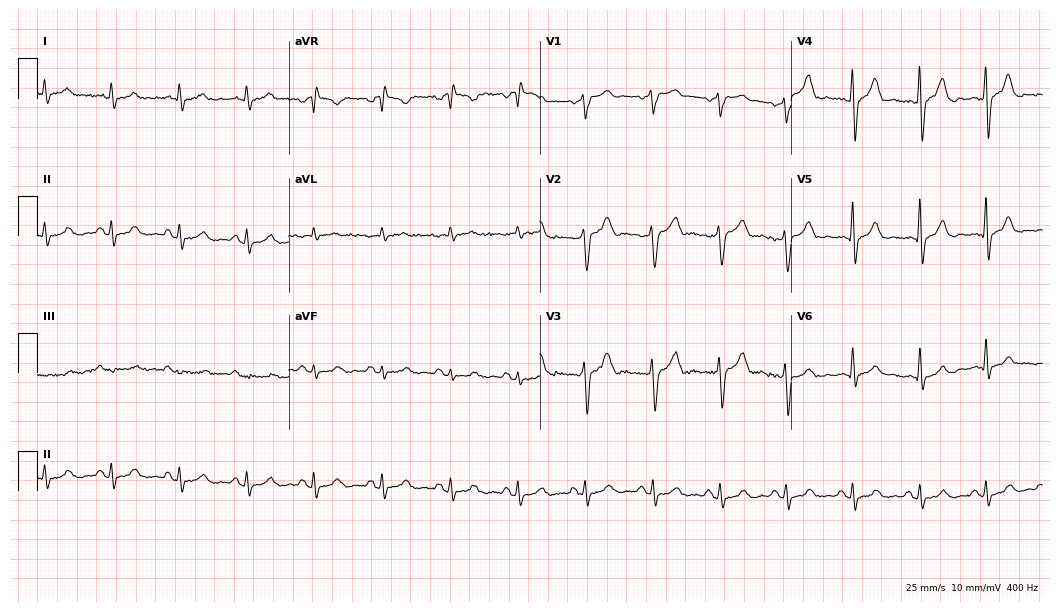
12-lead ECG from a male, 54 years old. Labelled as a normal ECG.